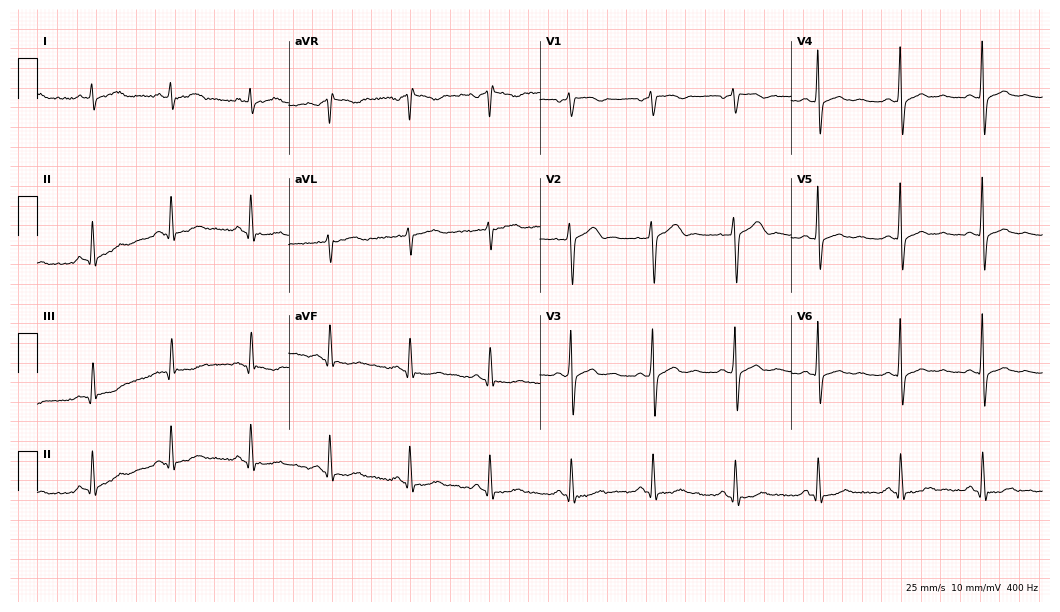
Electrocardiogram (10.2-second recording at 400 Hz), a male patient, 52 years old. Of the six screened findings (first-degree AV block, right bundle branch block, left bundle branch block, sinus bradycardia, atrial fibrillation, sinus tachycardia), none is recorded.